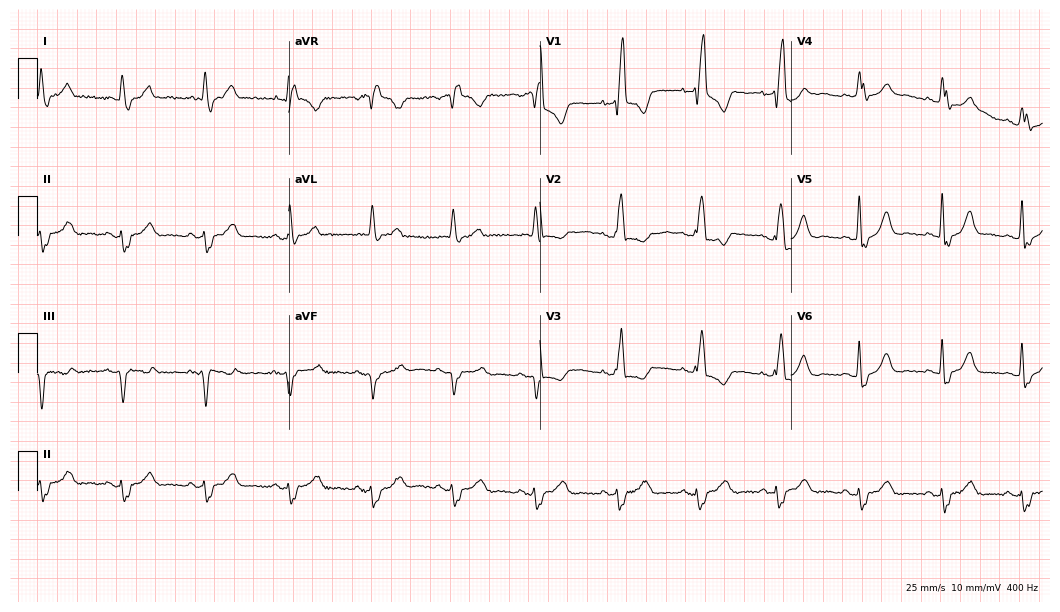
12-lead ECG from an 84-year-old woman (10.2-second recording at 400 Hz). Shows right bundle branch block (RBBB).